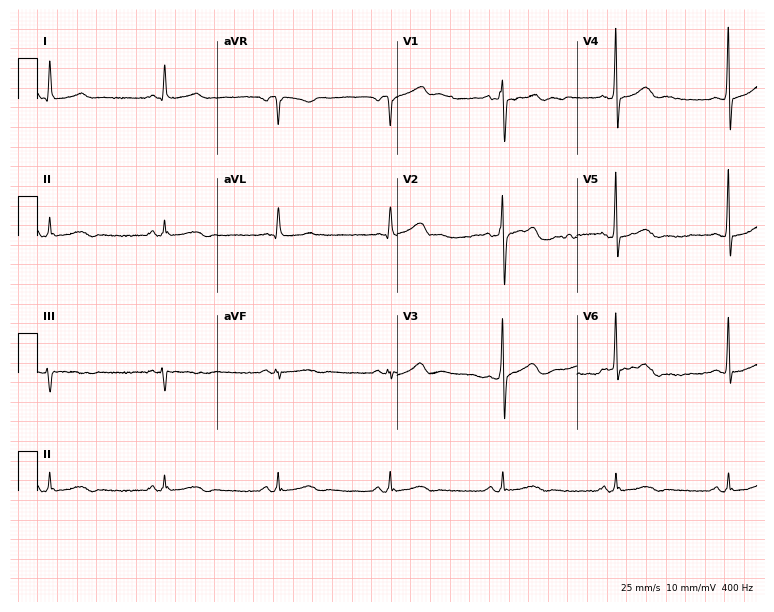
12-lead ECG from a 77-year-old male patient. Recorded interpretation: within normal limits.